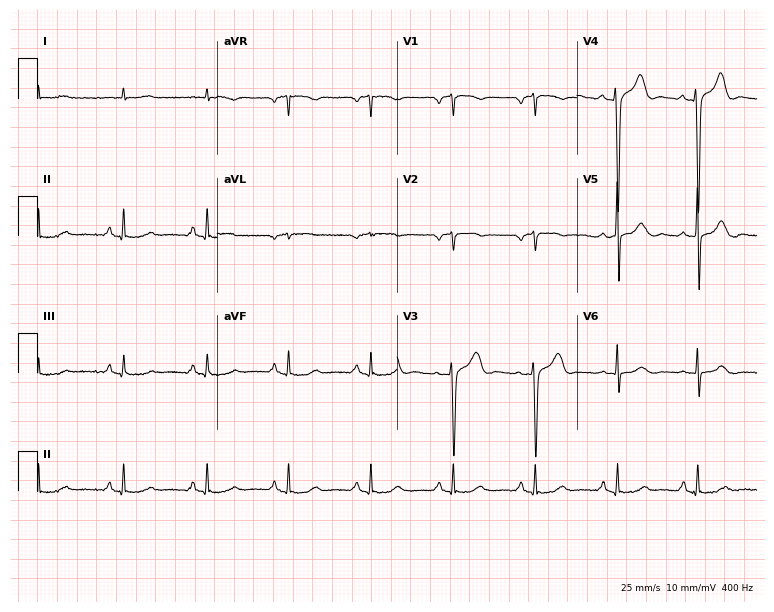
12-lead ECG from an 81-year-old male patient (7.3-second recording at 400 Hz). No first-degree AV block, right bundle branch block (RBBB), left bundle branch block (LBBB), sinus bradycardia, atrial fibrillation (AF) or sinus tachycardia recorded for this tracing.